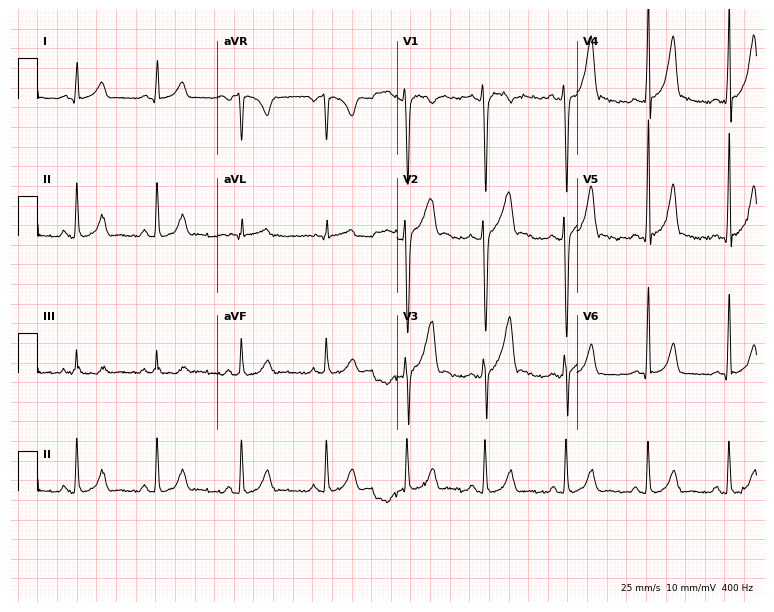
Electrocardiogram, a man, 19 years old. Of the six screened findings (first-degree AV block, right bundle branch block (RBBB), left bundle branch block (LBBB), sinus bradycardia, atrial fibrillation (AF), sinus tachycardia), none is recorded.